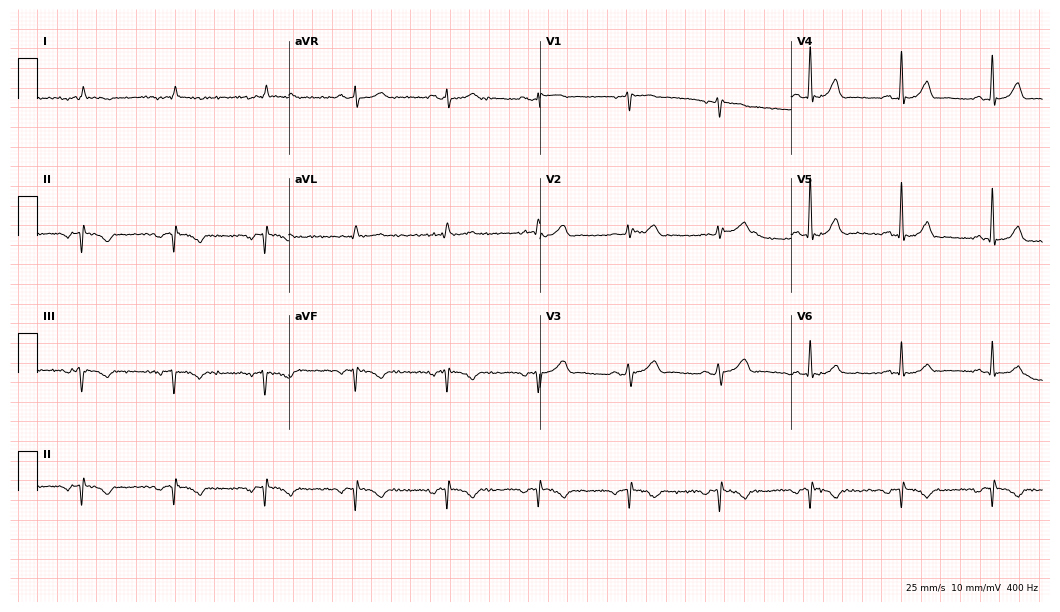
ECG — a male patient, 86 years old. Screened for six findings — first-degree AV block, right bundle branch block (RBBB), left bundle branch block (LBBB), sinus bradycardia, atrial fibrillation (AF), sinus tachycardia — none is recorded.